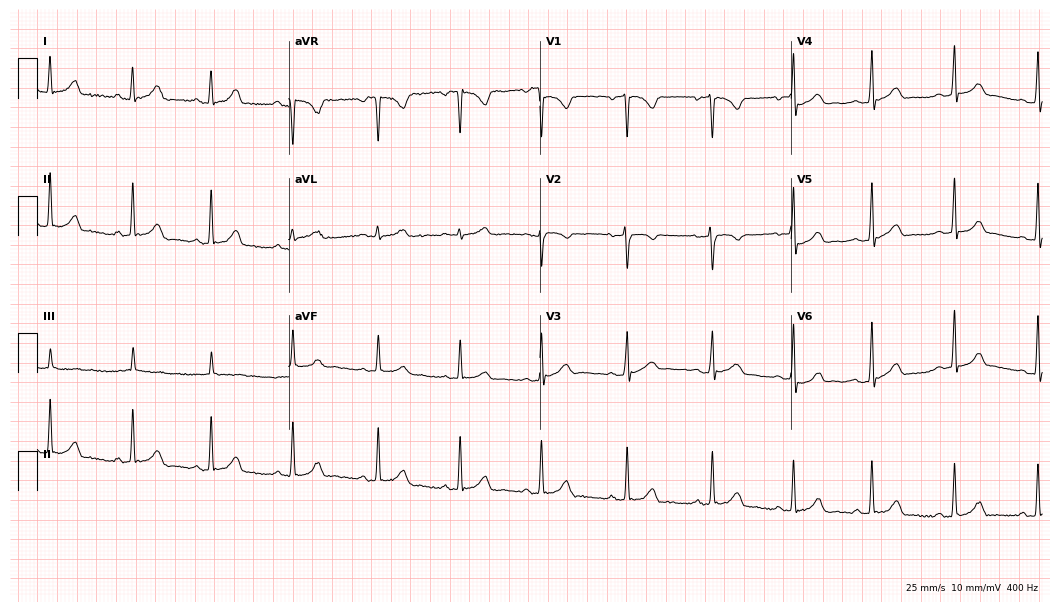
Resting 12-lead electrocardiogram. Patient: a female, 29 years old. Read as a normal ECG.